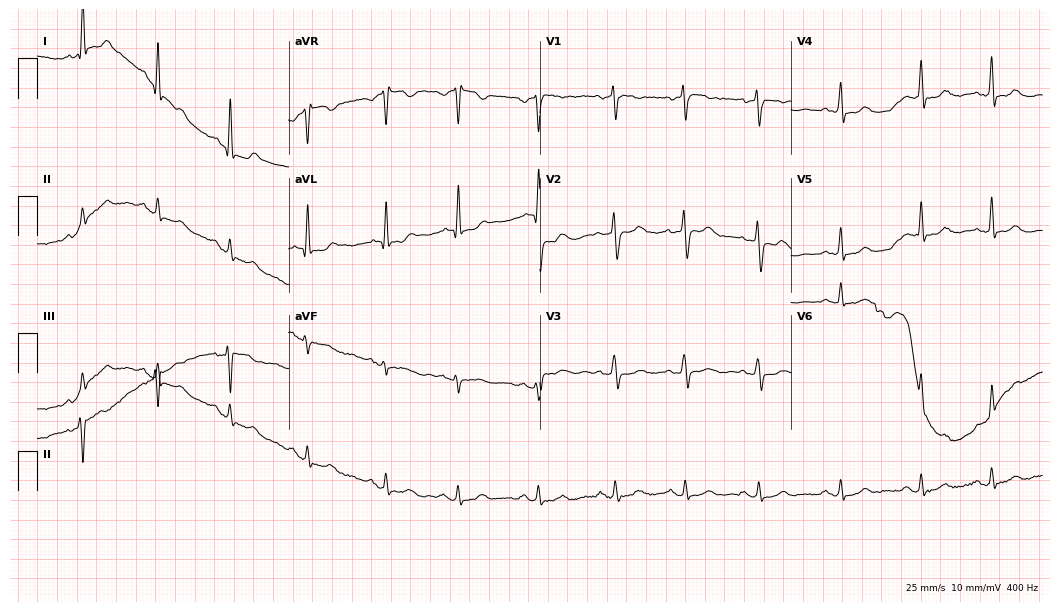
ECG (10.2-second recording at 400 Hz) — a 63-year-old female patient. Screened for six findings — first-degree AV block, right bundle branch block, left bundle branch block, sinus bradycardia, atrial fibrillation, sinus tachycardia — none is recorded.